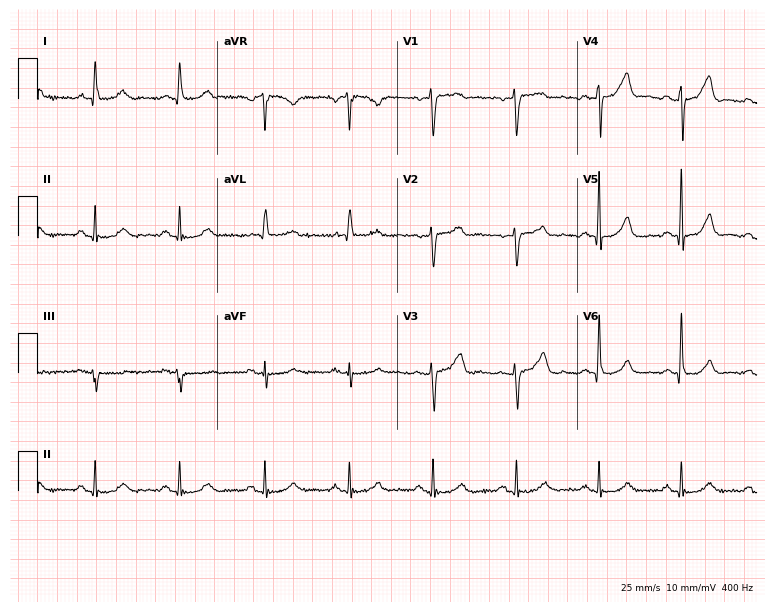
ECG — a 63-year-old female patient. Labelled as a normal ECG.